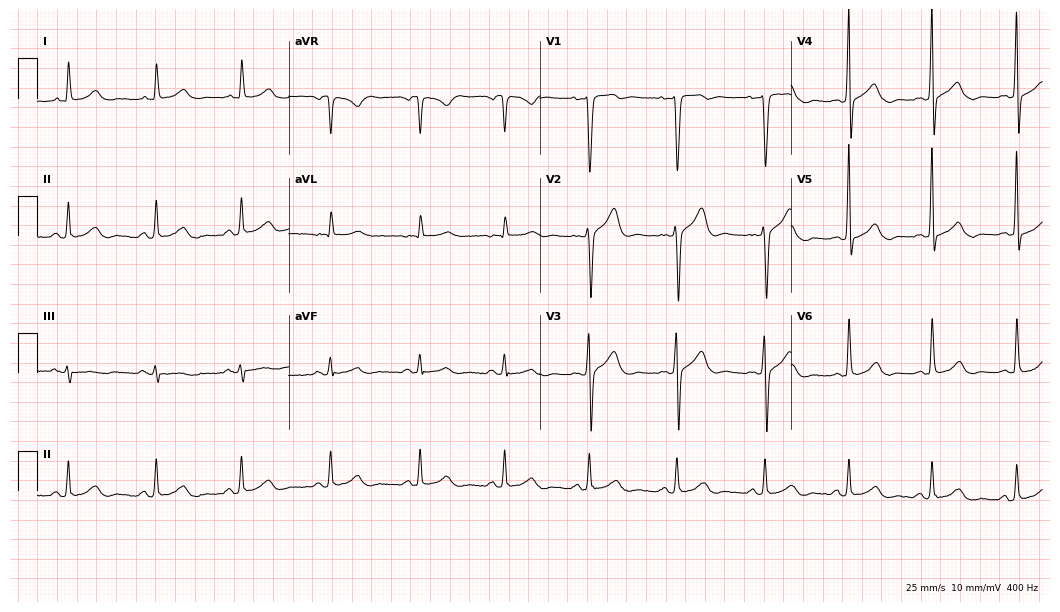
Standard 12-lead ECG recorded from a 43-year-old male patient (10.2-second recording at 400 Hz). None of these six findings is recorded: first-degree AV block, right bundle branch block, left bundle branch block, sinus bradycardia, atrial fibrillation, sinus tachycardia.